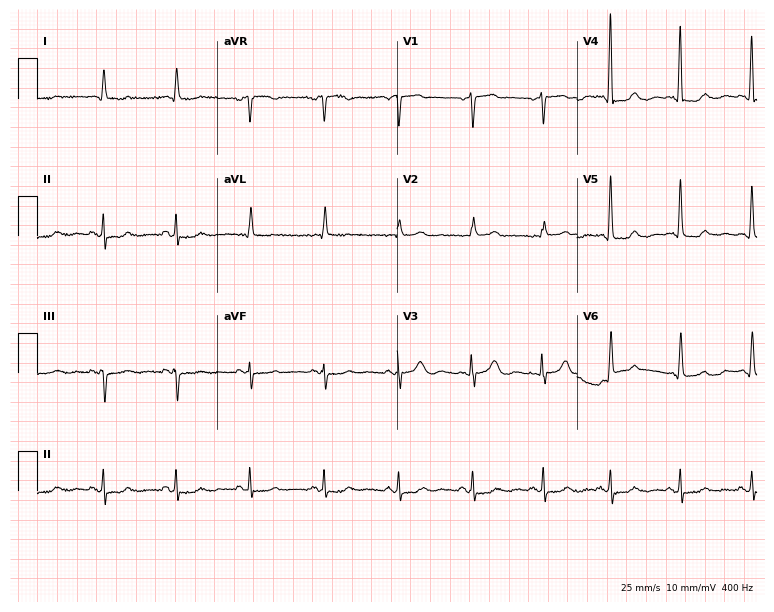
Standard 12-lead ECG recorded from a female patient, 77 years old (7.3-second recording at 400 Hz). Read as a normal ECG.